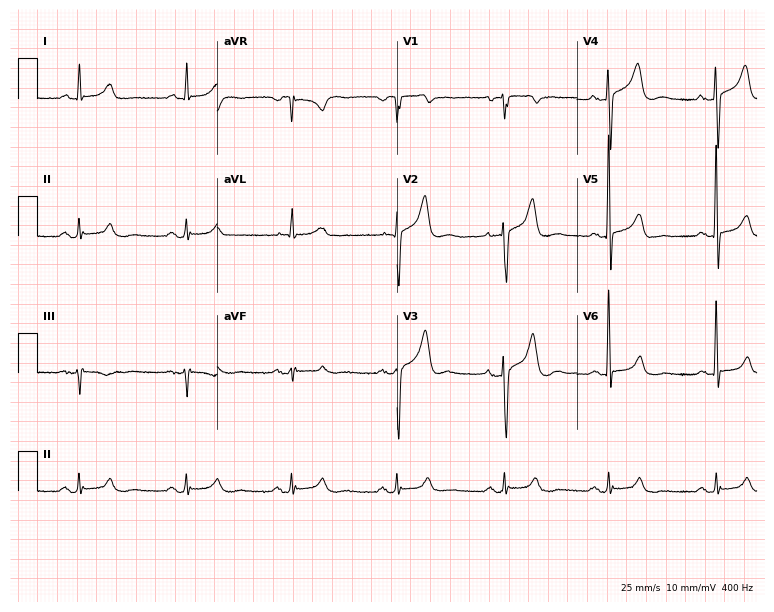
12-lead ECG from a male, 80 years old (7.3-second recording at 400 Hz). Recorded interpretation: within normal limits.